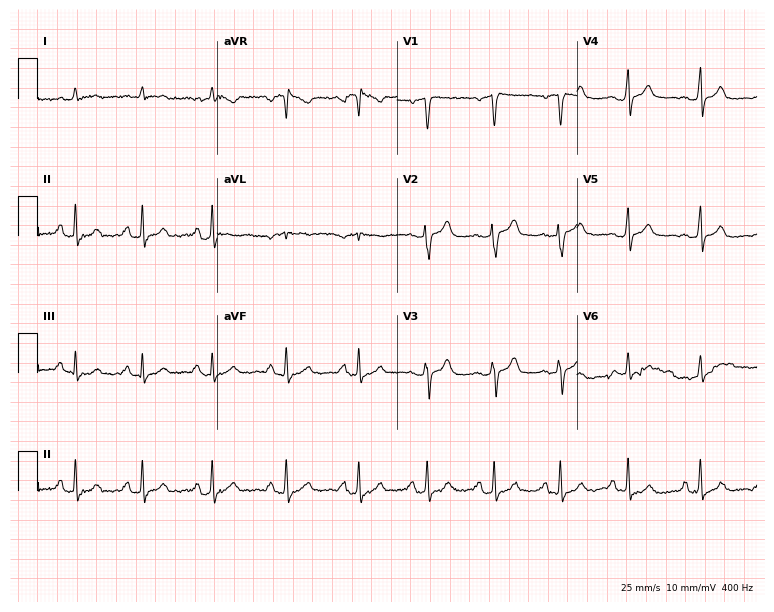
12-lead ECG from a 48-year-old male patient (7.3-second recording at 400 Hz). No first-degree AV block, right bundle branch block, left bundle branch block, sinus bradycardia, atrial fibrillation or sinus tachycardia recorded for this tracing. Findings outside these six are not listed.